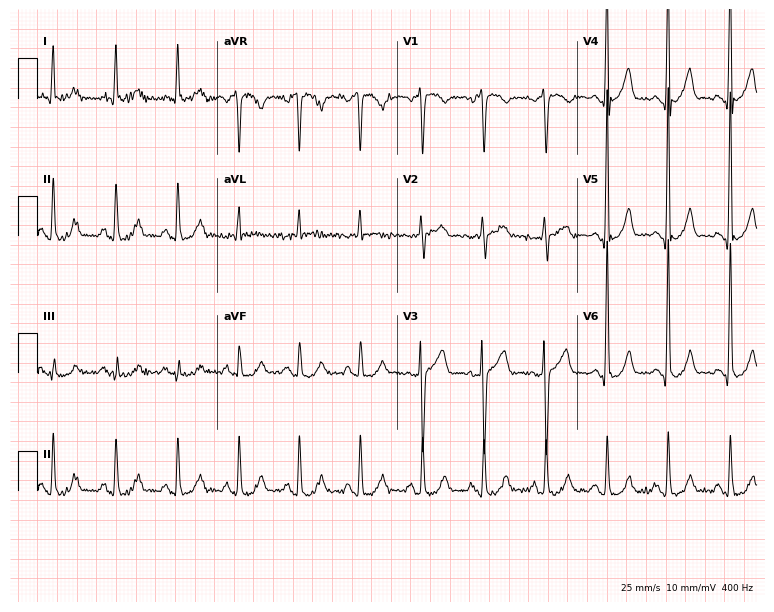
12-lead ECG from a male patient, 70 years old. Labelled as a normal ECG.